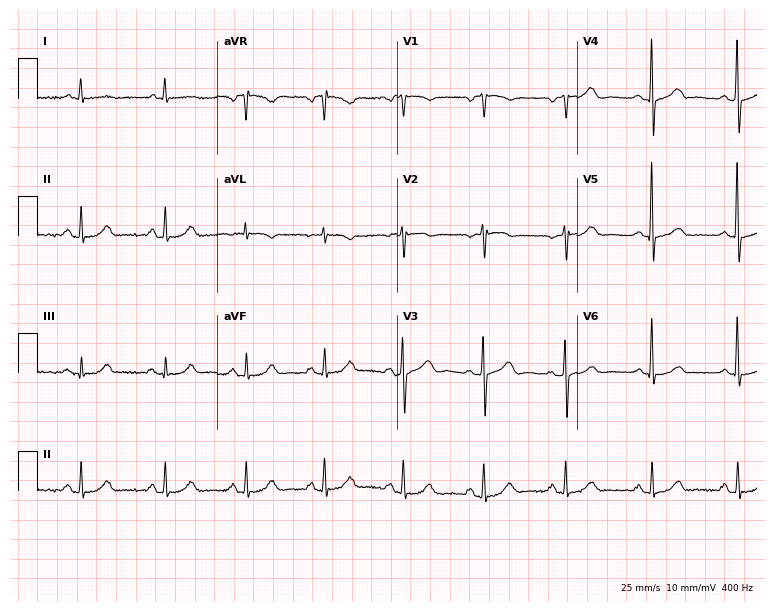
Electrocardiogram, a female, 76 years old. Of the six screened findings (first-degree AV block, right bundle branch block, left bundle branch block, sinus bradycardia, atrial fibrillation, sinus tachycardia), none is recorded.